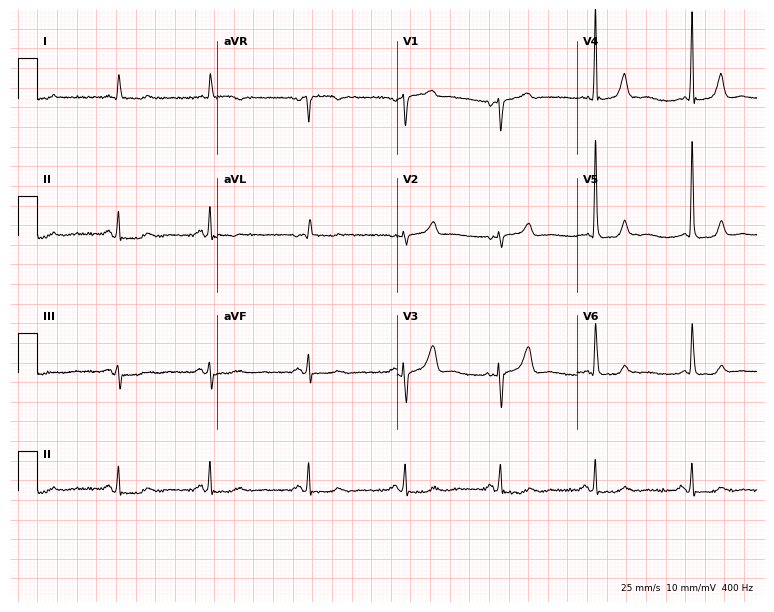
Resting 12-lead electrocardiogram. Patient: a woman, 78 years old. None of these six findings is recorded: first-degree AV block, right bundle branch block, left bundle branch block, sinus bradycardia, atrial fibrillation, sinus tachycardia.